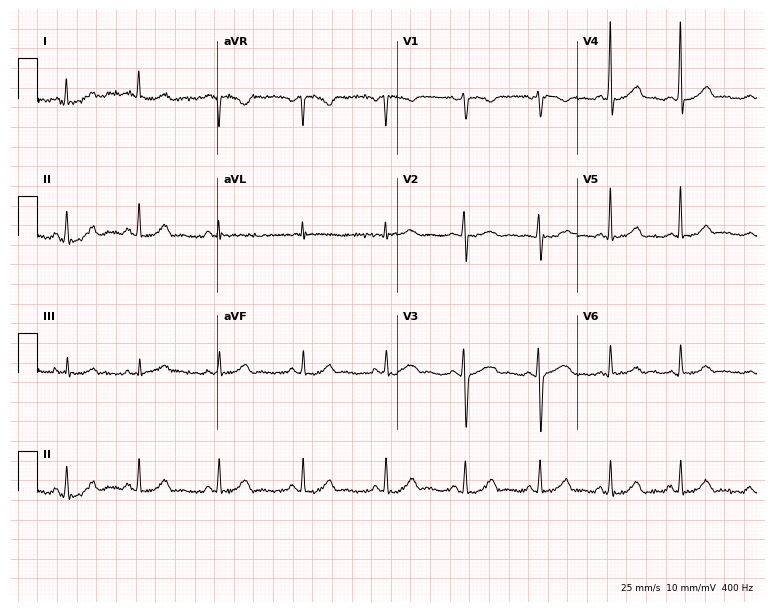
12-lead ECG from a 25-year-old female (7.3-second recording at 400 Hz). Recorded interpretation: within normal limits.